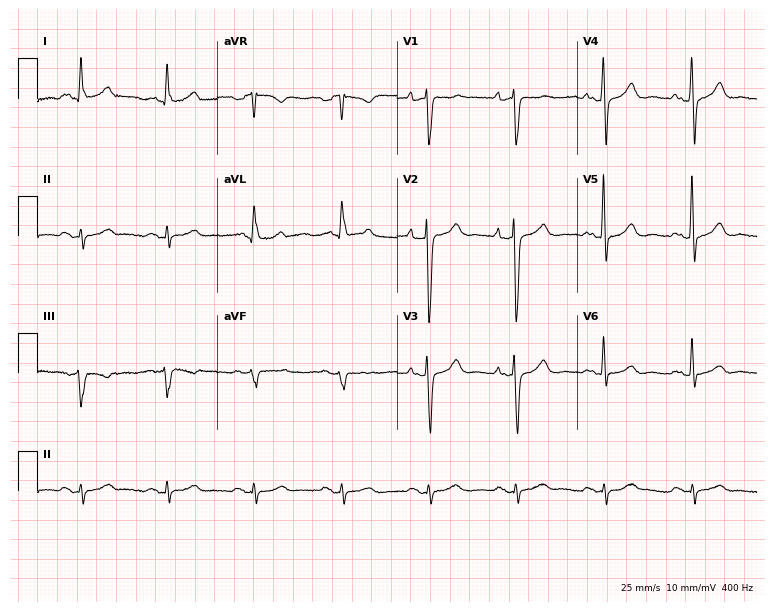
Resting 12-lead electrocardiogram (7.3-second recording at 400 Hz). Patient: a woman, 78 years old. None of these six findings is recorded: first-degree AV block, right bundle branch block, left bundle branch block, sinus bradycardia, atrial fibrillation, sinus tachycardia.